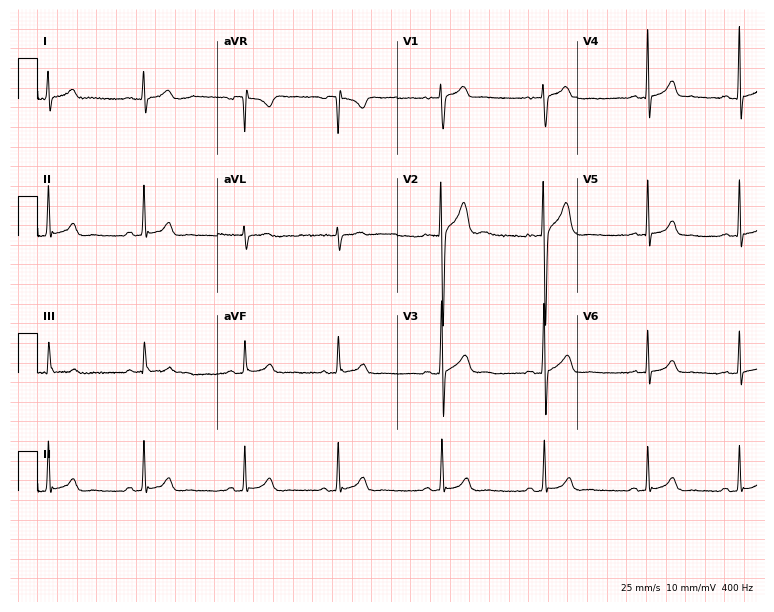
Standard 12-lead ECG recorded from a man, 21 years old. Read as a normal ECG.